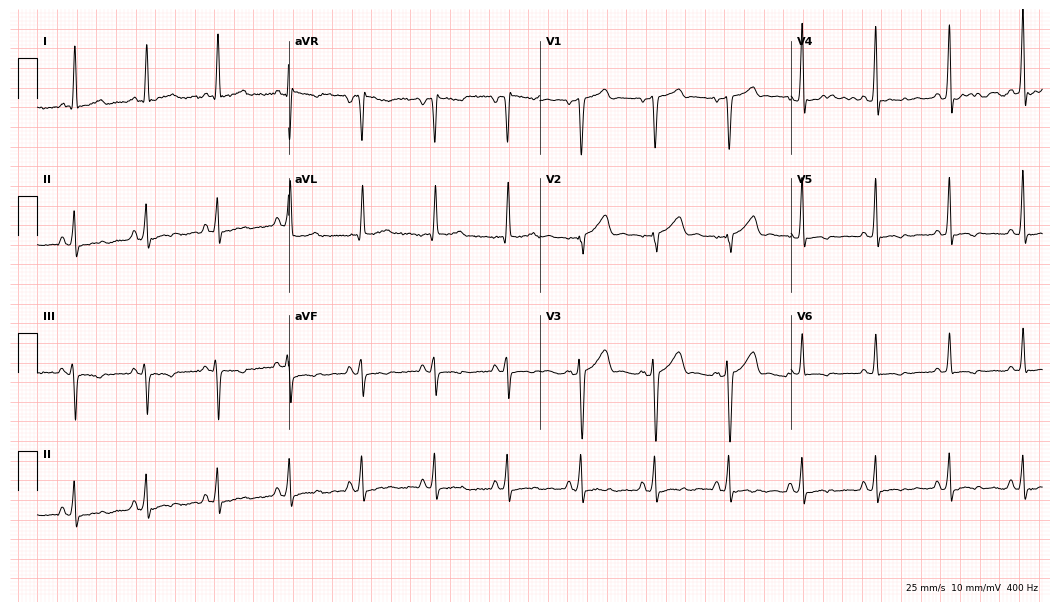
12-lead ECG from a male patient, 57 years old (10.2-second recording at 400 Hz). No first-degree AV block, right bundle branch block (RBBB), left bundle branch block (LBBB), sinus bradycardia, atrial fibrillation (AF) or sinus tachycardia recorded for this tracing.